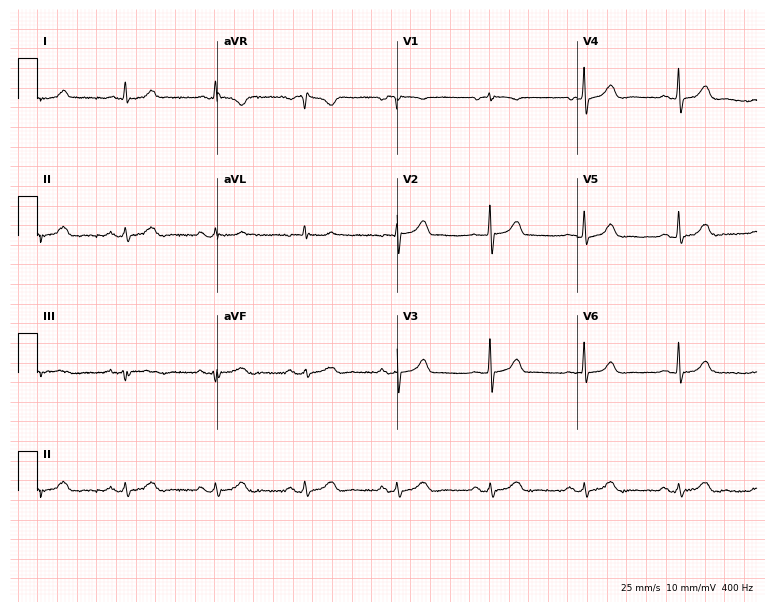
ECG (7.3-second recording at 400 Hz) — a female patient, 70 years old. Labelled as a normal ECG.